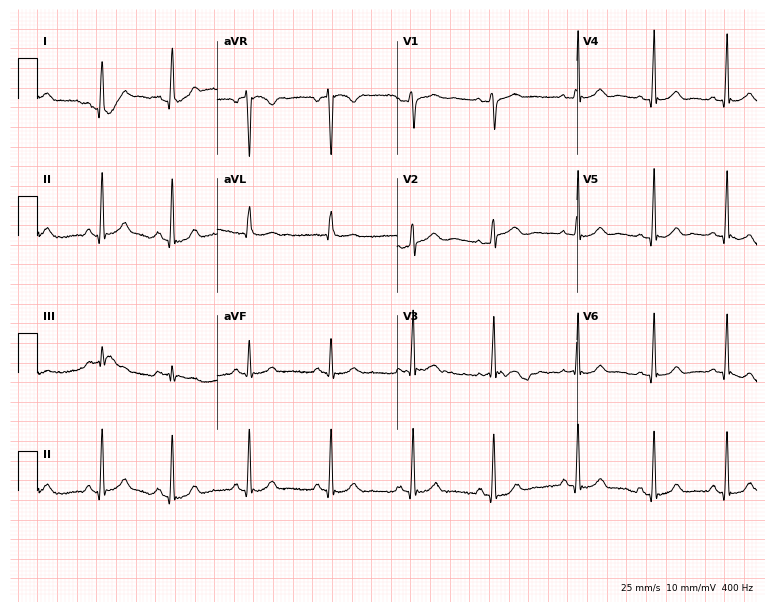
ECG — a woman, 37 years old. Labelled as a normal ECG.